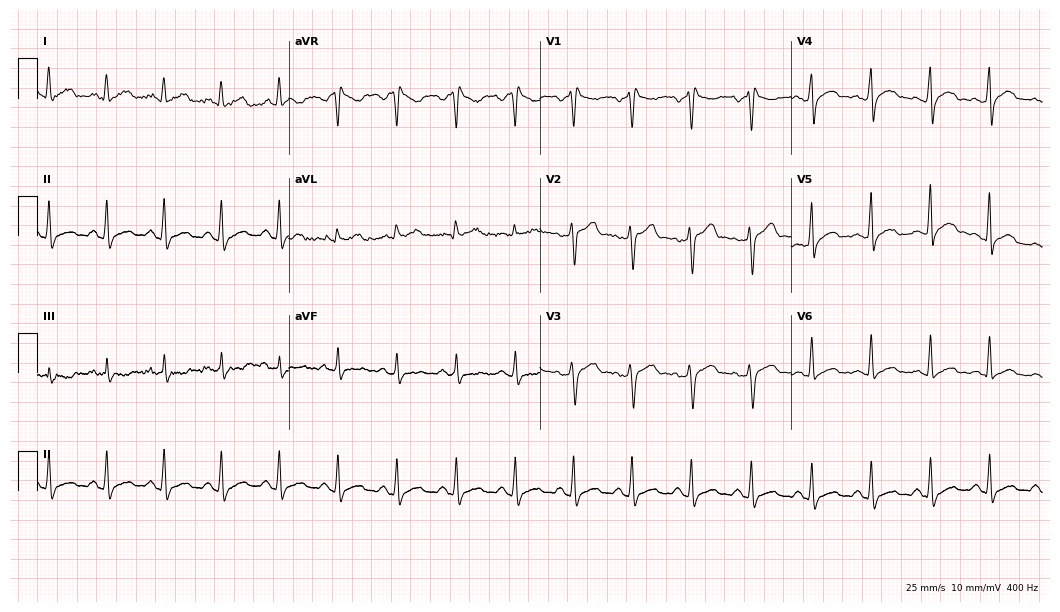
Resting 12-lead electrocardiogram (10.2-second recording at 400 Hz). Patient: a 35-year-old man. None of these six findings is recorded: first-degree AV block, right bundle branch block, left bundle branch block, sinus bradycardia, atrial fibrillation, sinus tachycardia. Findings outside these six are not listed.